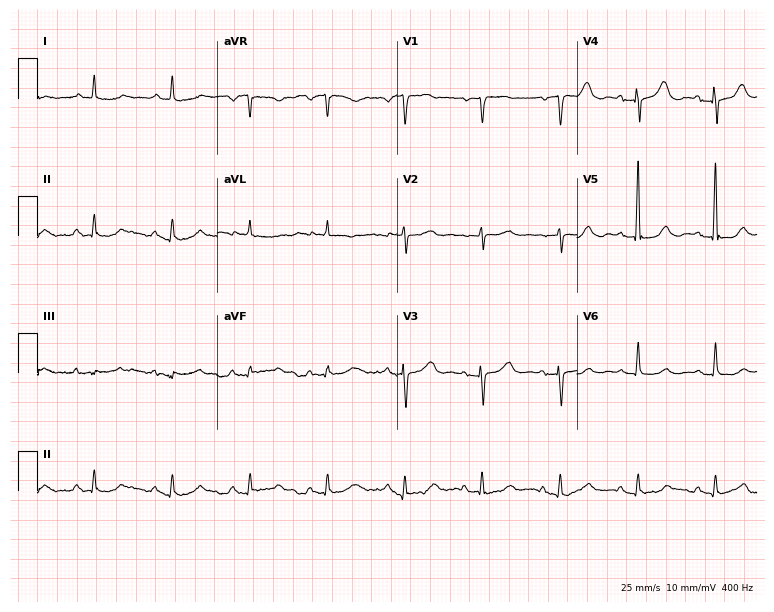
12-lead ECG from a female, 80 years old. Labelled as a normal ECG.